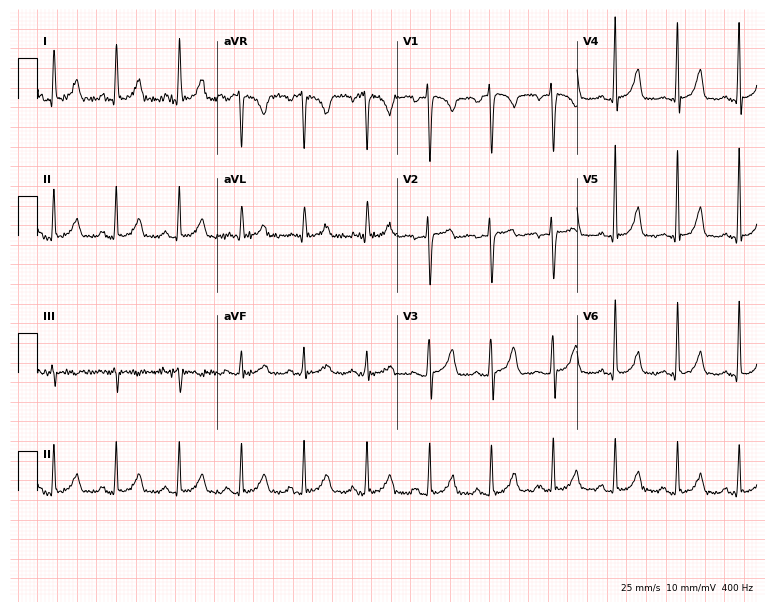
Standard 12-lead ECG recorded from a 48-year-old female patient. Read as a normal ECG.